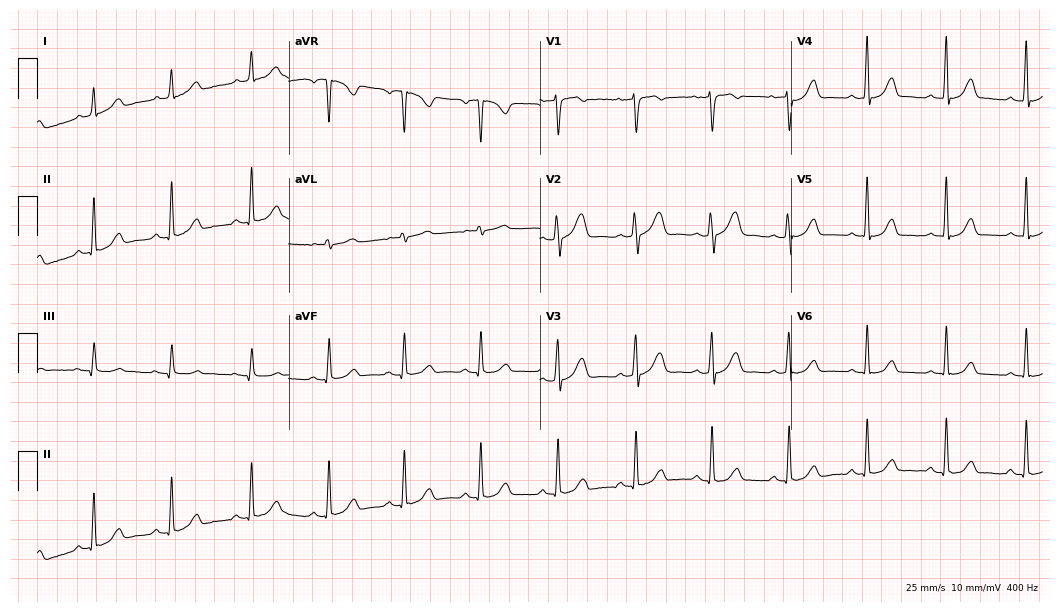
12-lead ECG from a female patient, 49 years old (10.2-second recording at 400 Hz). Recorded interpretation: within normal limits.